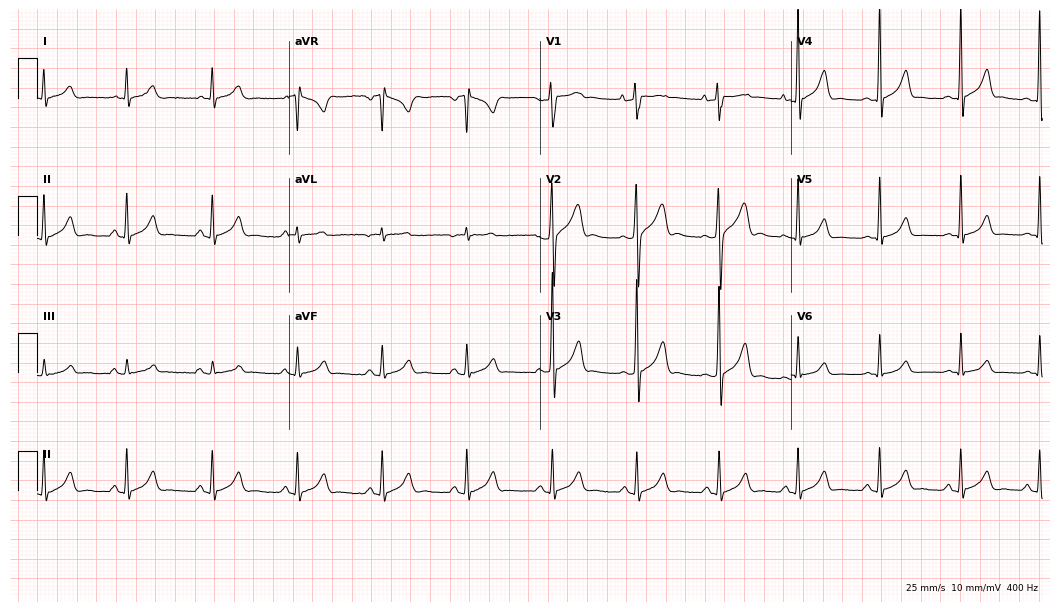
Standard 12-lead ECG recorded from a 20-year-old male patient. Read as a normal ECG.